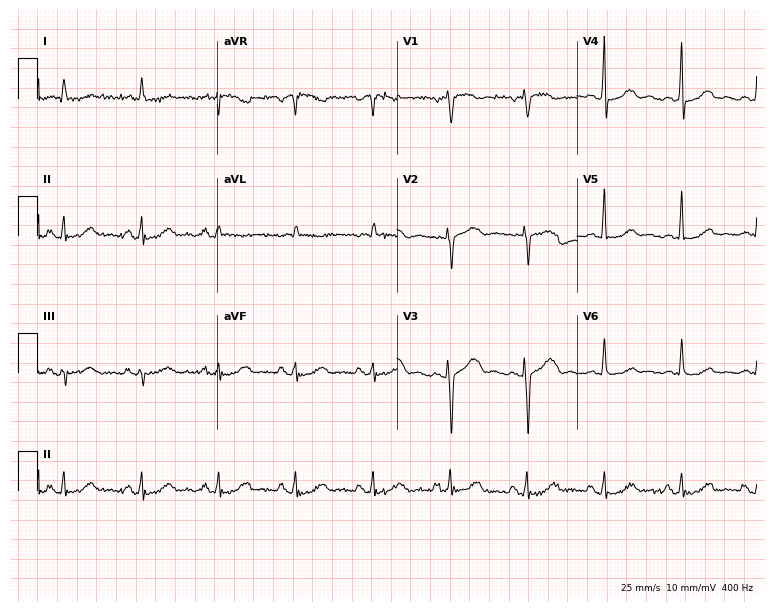
Standard 12-lead ECG recorded from a female patient, 72 years old. None of these six findings is recorded: first-degree AV block, right bundle branch block, left bundle branch block, sinus bradycardia, atrial fibrillation, sinus tachycardia. Only these six findings were labelled.